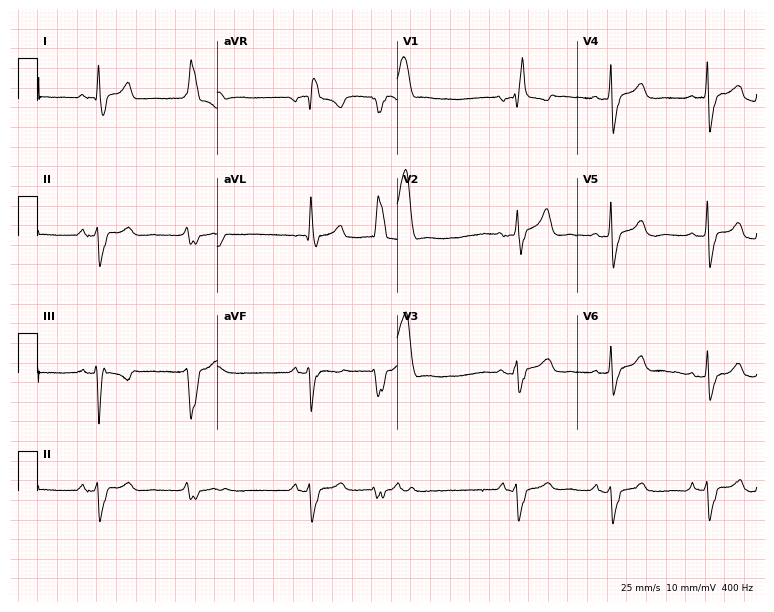
12-lead ECG from a male, 46 years old. Findings include right bundle branch block.